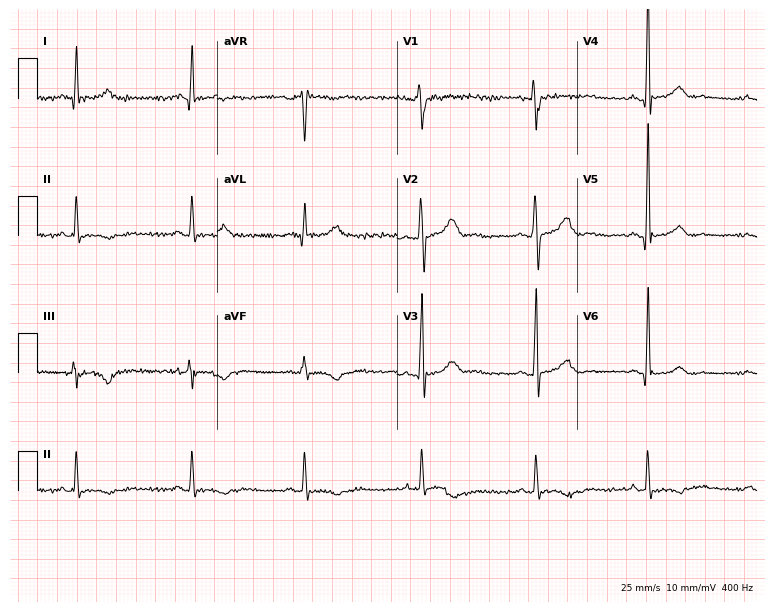
ECG — a 38-year-old male patient. Screened for six findings — first-degree AV block, right bundle branch block (RBBB), left bundle branch block (LBBB), sinus bradycardia, atrial fibrillation (AF), sinus tachycardia — none is recorded.